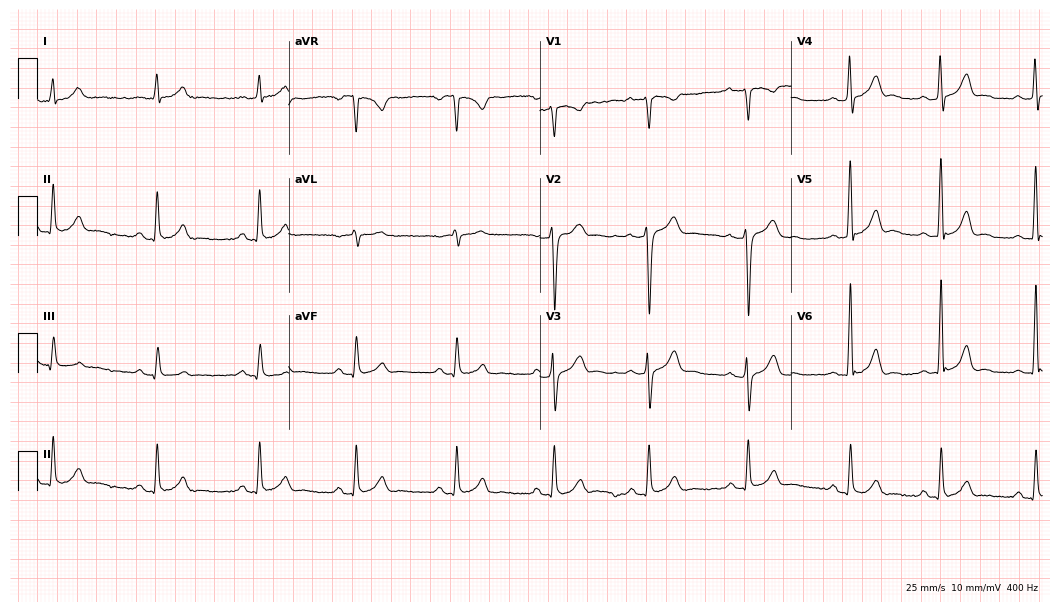
Resting 12-lead electrocardiogram. Patient: a 34-year-old male. Read as a normal ECG.